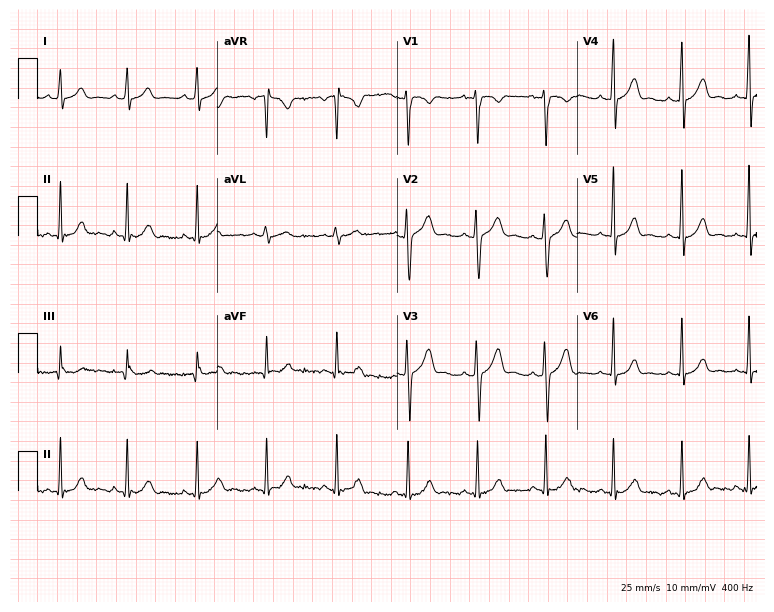
Standard 12-lead ECG recorded from a 23-year-old woman. None of these six findings is recorded: first-degree AV block, right bundle branch block, left bundle branch block, sinus bradycardia, atrial fibrillation, sinus tachycardia. Findings outside these six are not listed.